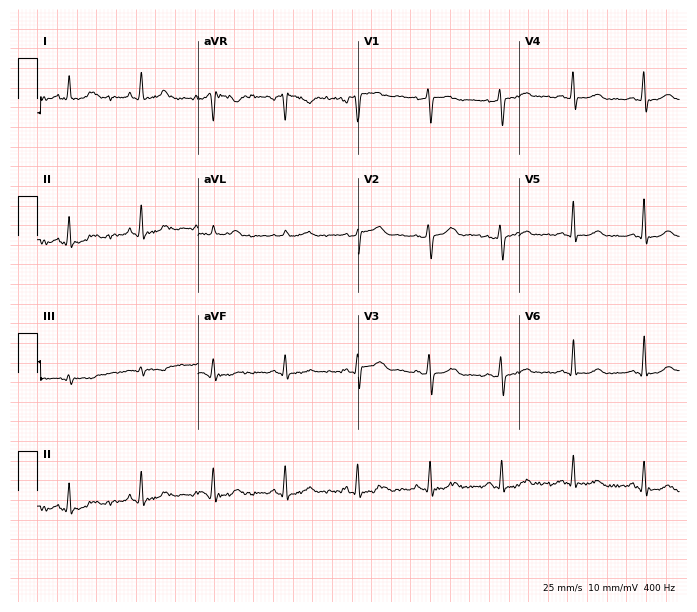
Electrocardiogram (6.5-second recording at 400 Hz), a female patient, 57 years old. Overall reading on record: normal ECG.